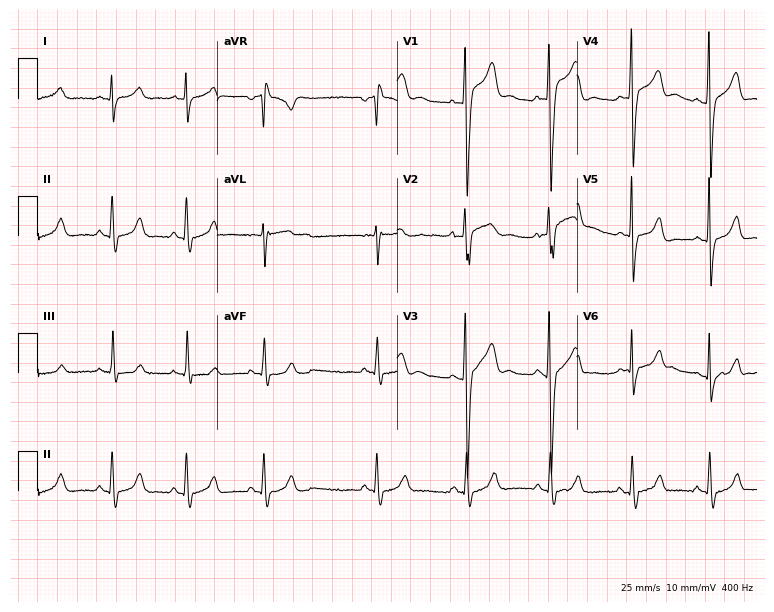
12-lead ECG from a man, 22 years old. No first-degree AV block, right bundle branch block, left bundle branch block, sinus bradycardia, atrial fibrillation or sinus tachycardia recorded for this tracing.